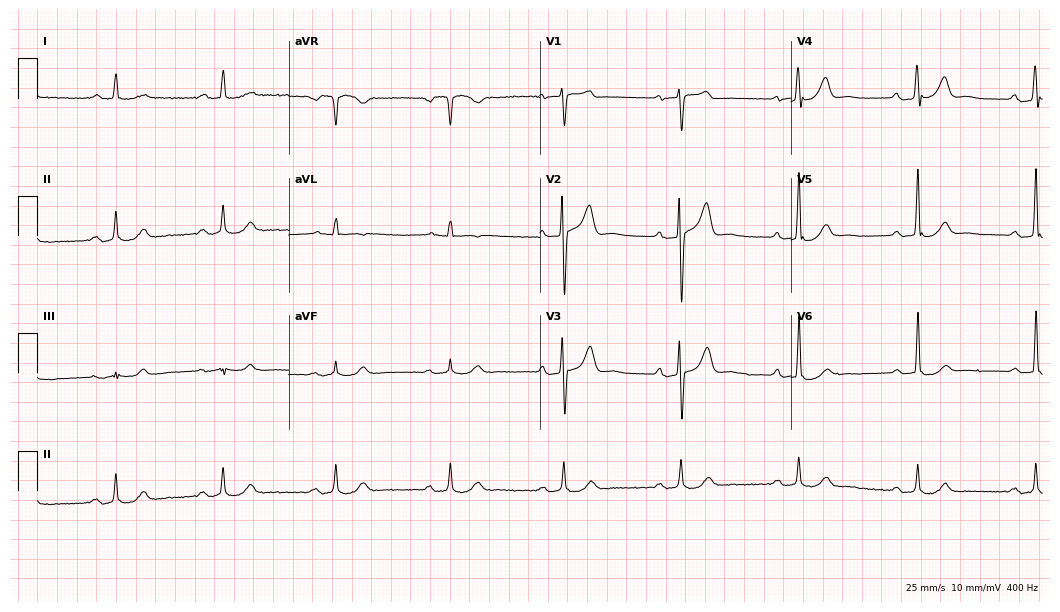
Resting 12-lead electrocardiogram. Patient: a male, 59 years old. Read as a normal ECG.